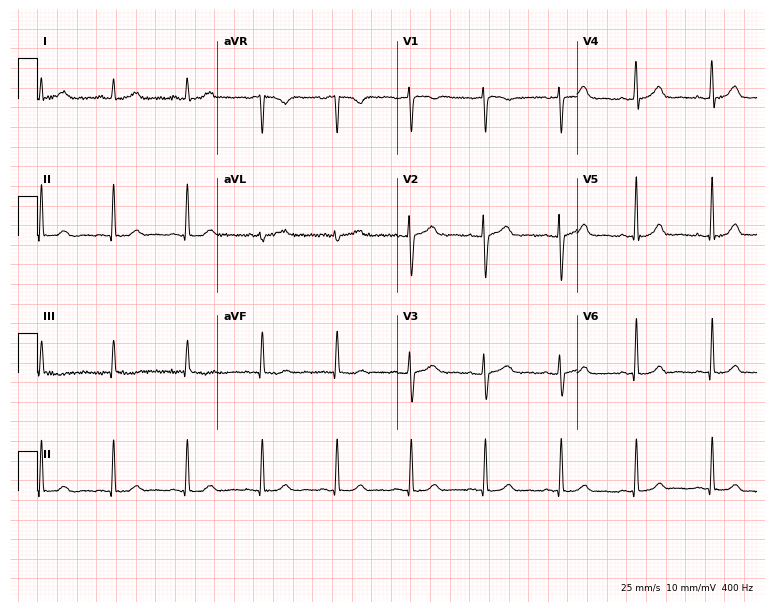
Resting 12-lead electrocardiogram (7.3-second recording at 400 Hz). Patient: a 41-year-old female. Read as a normal ECG.